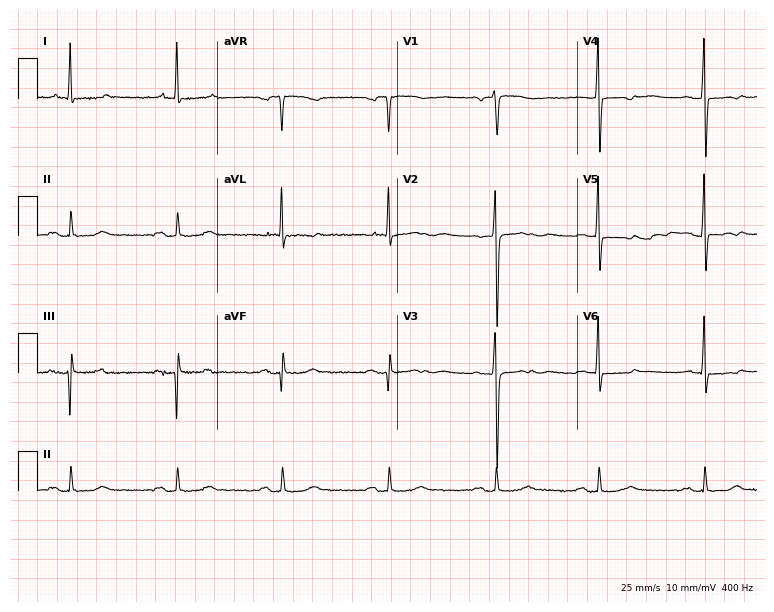
ECG (7.3-second recording at 400 Hz) — a female, 70 years old. Findings include first-degree AV block.